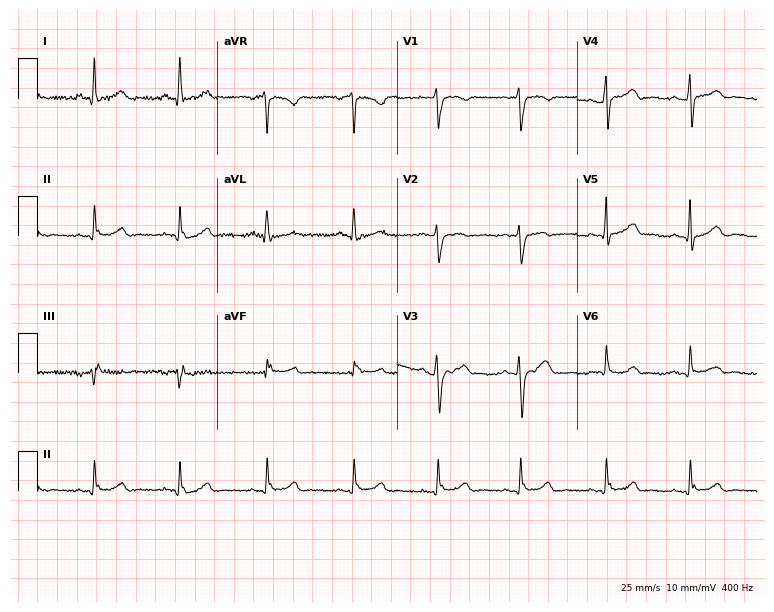
ECG (7.3-second recording at 400 Hz) — a 55-year-old female. Labelled as a normal ECG.